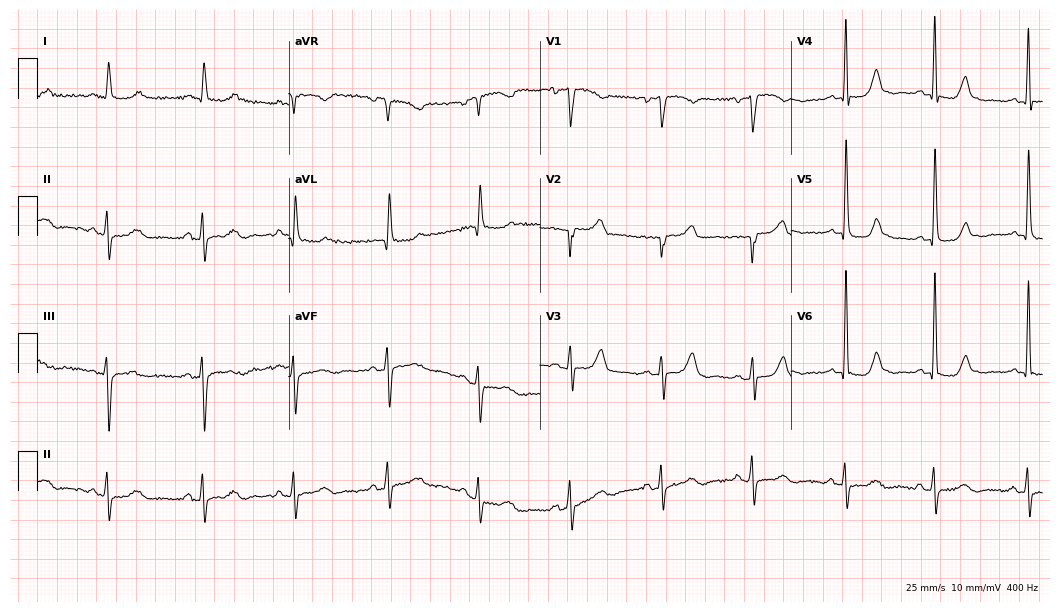
ECG — a female patient, 75 years old. Labelled as a normal ECG.